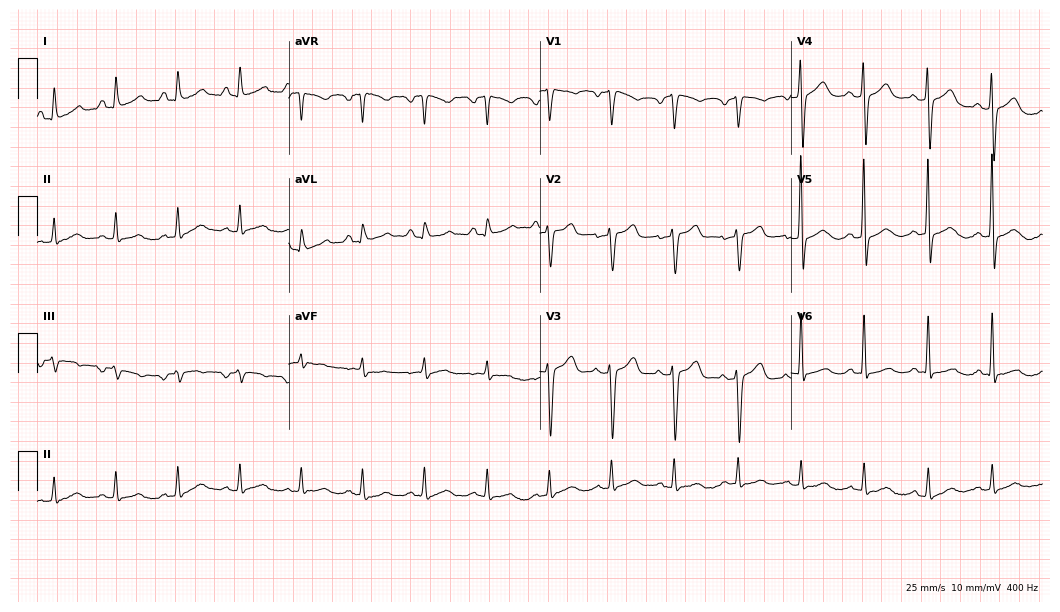
Resting 12-lead electrocardiogram. Patient: a female, 63 years old. Read as a normal ECG.